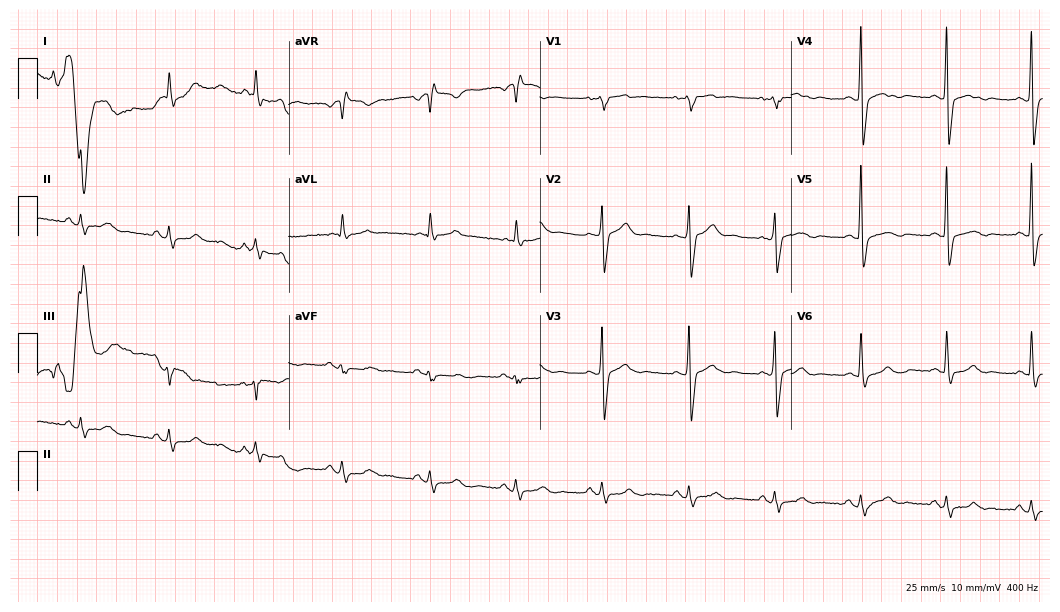
ECG — a male patient, 55 years old. Screened for six findings — first-degree AV block, right bundle branch block, left bundle branch block, sinus bradycardia, atrial fibrillation, sinus tachycardia — none is recorded. Other findings, if any, are not listed.